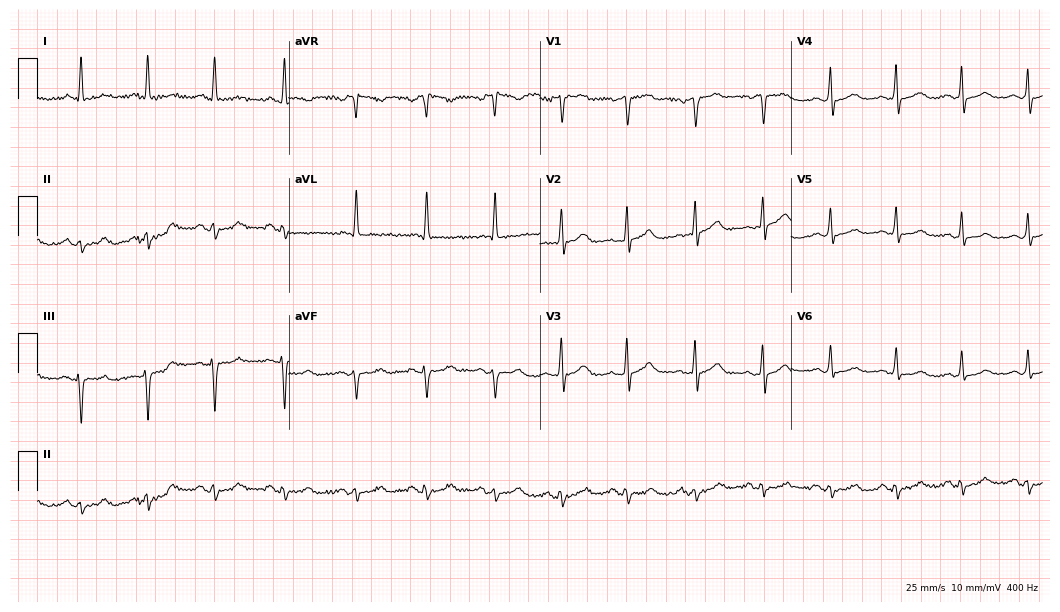
ECG (10.2-second recording at 400 Hz) — a 62-year-old female patient. Screened for six findings — first-degree AV block, right bundle branch block, left bundle branch block, sinus bradycardia, atrial fibrillation, sinus tachycardia — none is recorded. Only these six findings were labelled.